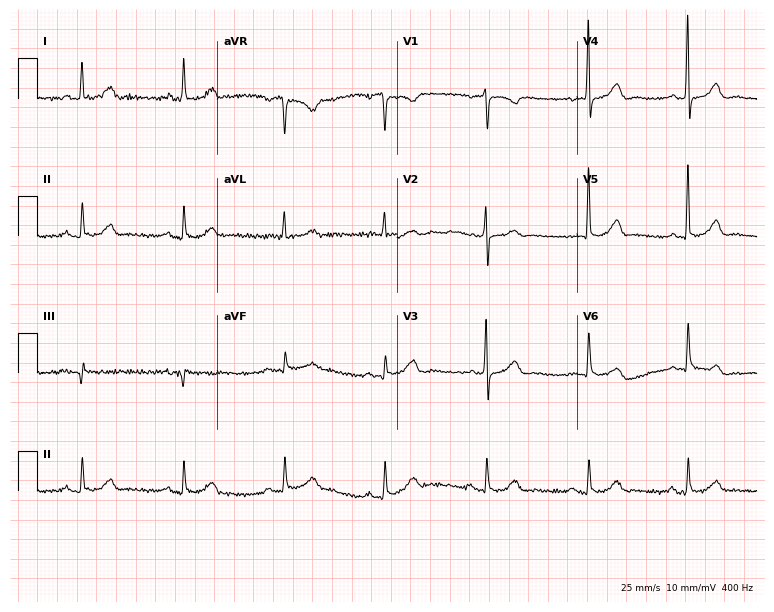
12-lead ECG from a female patient, 66 years old. Recorded interpretation: within normal limits.